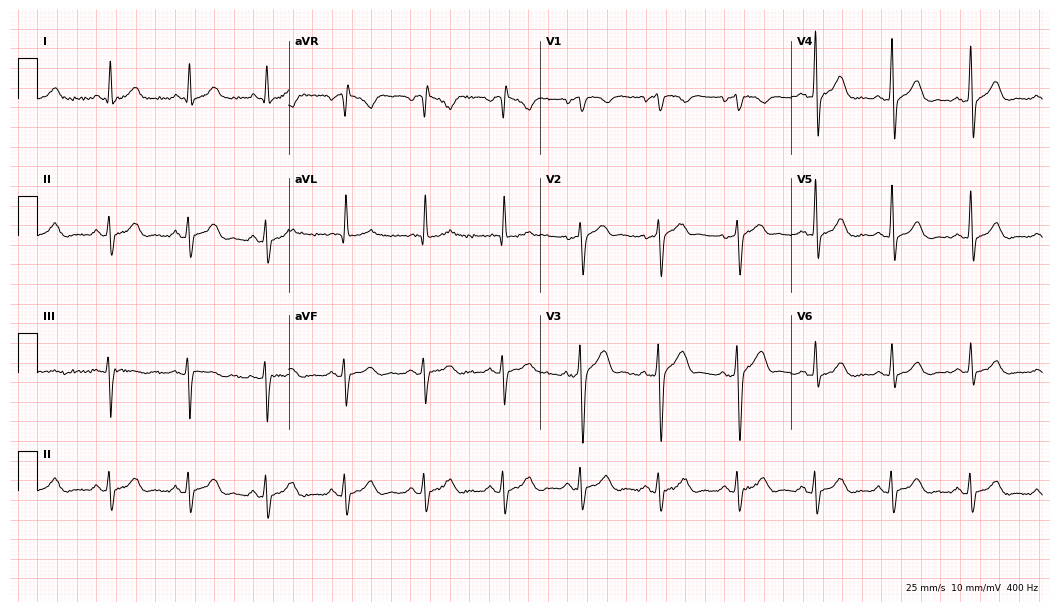
ECG — a man, 59 years old. Screened for six findings — first-degree AV block, right bundle branch block (RBBB), left bundle branch block (LBBB), sinus bradycardia, atrial fibrillation (AF), sinus tachycardia — none is recorded. Other findings, if any, are not listed.